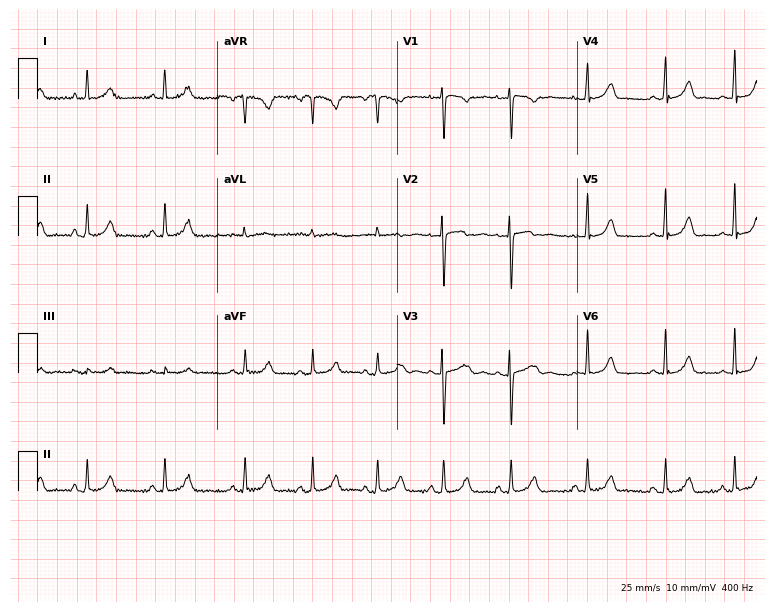
12-lead ECG (7.3-second recording at 400 Hz) from a 22-year-old female patient. Labelled as a normal ECG.